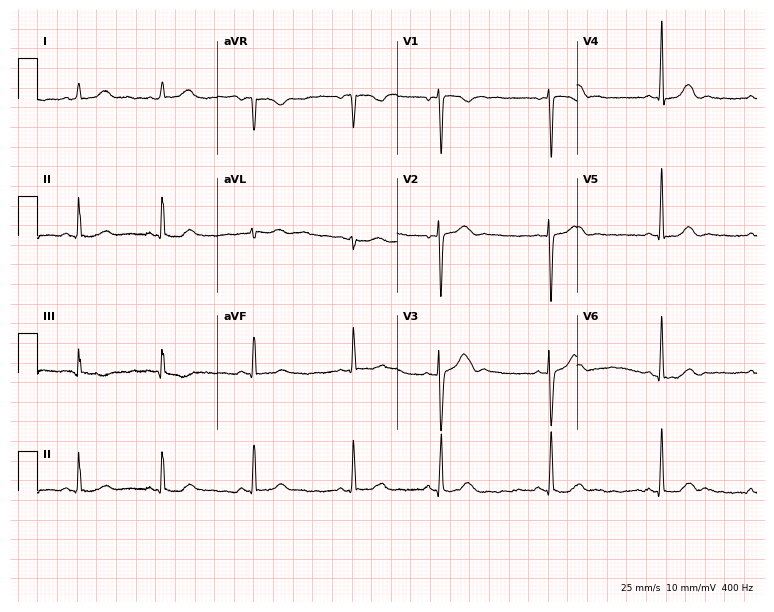
Standard 12-lead ECG recorded from a female patient, 32 years old. None of these six findings is recorded: first-degree AV block, right bundle branch block (RBBB), left bundle branch block (LBBB), sinus bradycardia, atrial fibrillation (AF), sinus tachycardia.